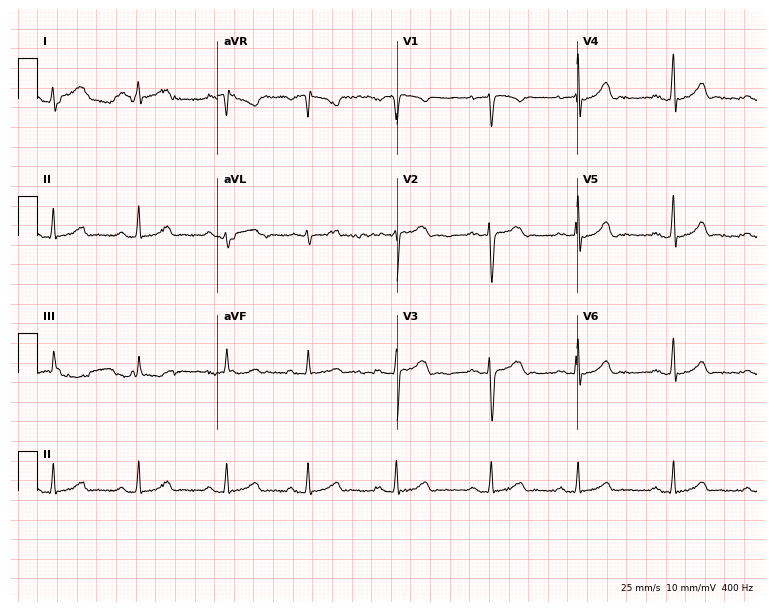
Resting 12-lead electrocardiogram. Patient: a female, 32 years old. Read as a normal ECG.